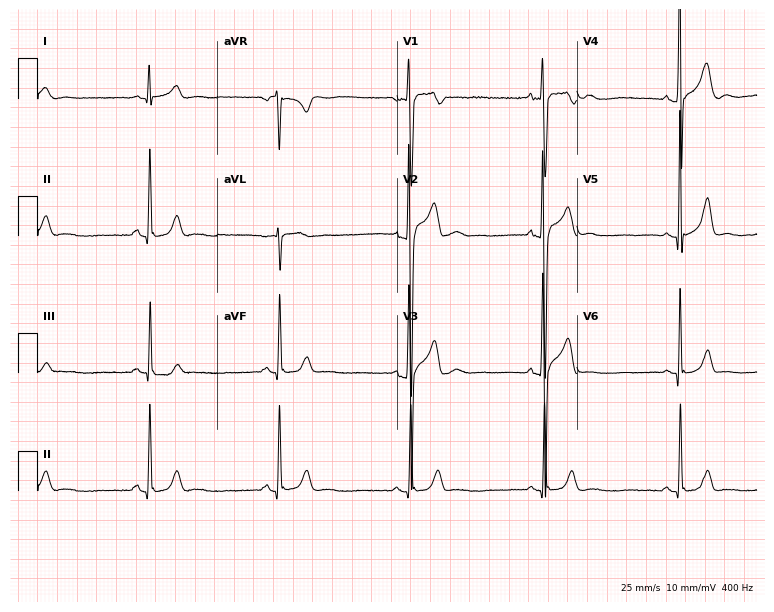
Standard 12-lead ECG recorded from a man, 20 years old. The tracing shows sinus bradycardia (a sinus rate of 50 beats per minute or less).